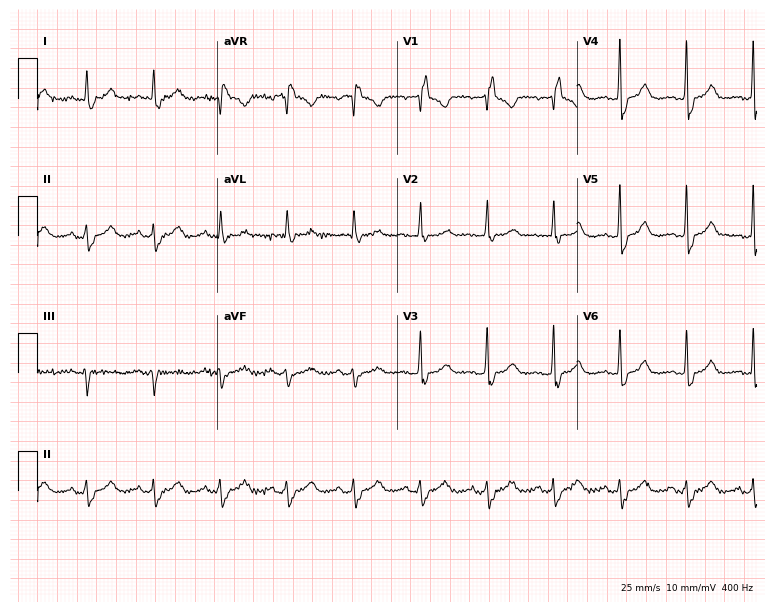
Electrocardiogram (7.3-second recording at 400 Hz), a female, 43 years old. Interpretation includes right bundle branch block.